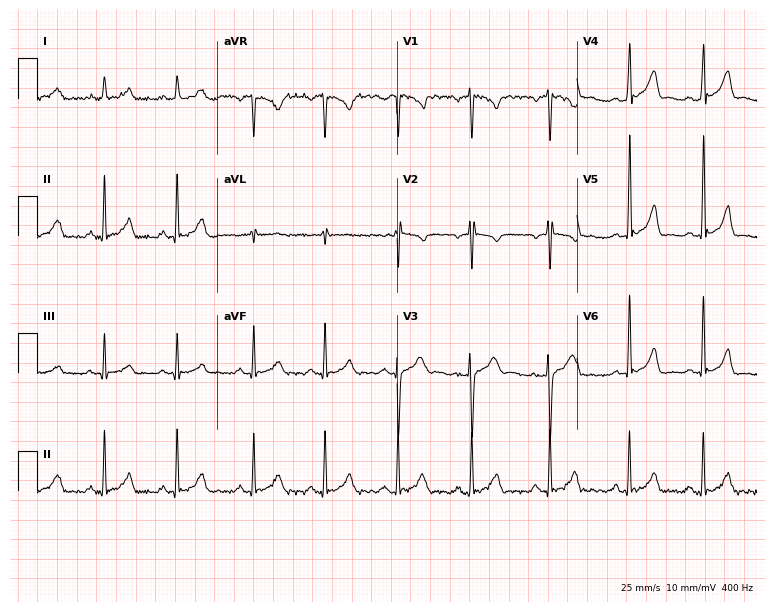
12-lead ECG from a 22-year-old female. No first-degree AV block, right bundle branch block (RBBB), left bundle branch block (LBBB), sinus bradycardia, atrial fibrillation (AF) or sinus tachycardia recorded for this tracing. Findings outside these six are not listed.